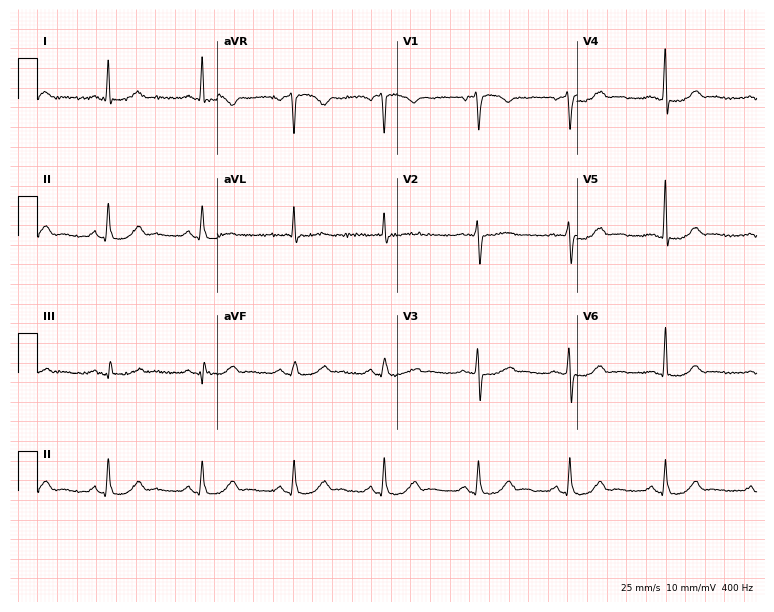
Standard 12-lead ECG recorded from a female, 58 years old. Read as a normal ECG.